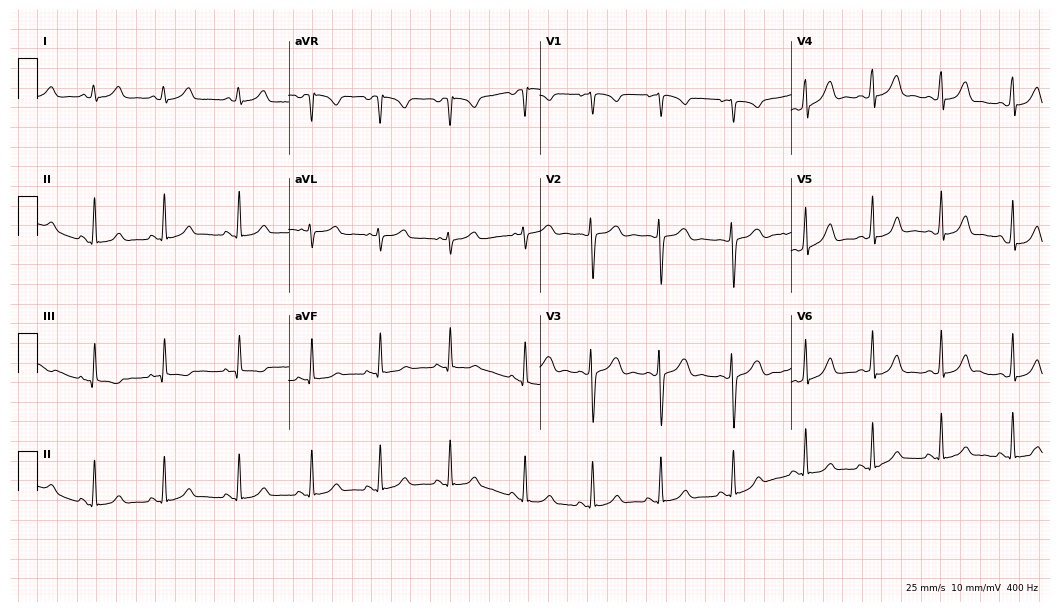
12-lead ECG from a female, 22 years old (10.2-second recording at 400 Hz). Recorded interpretation: within normal limits.